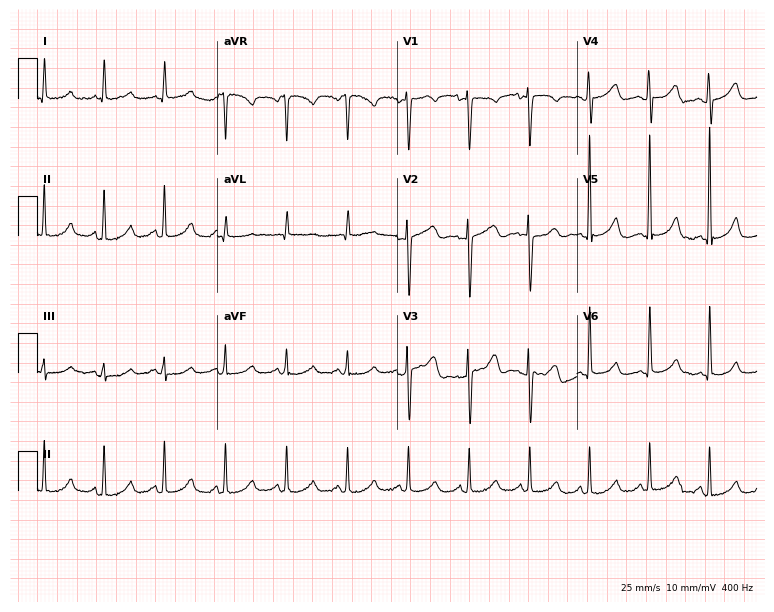
Electrocardiogram, a 62-year-old female. Overall reading on record: normal ECG.